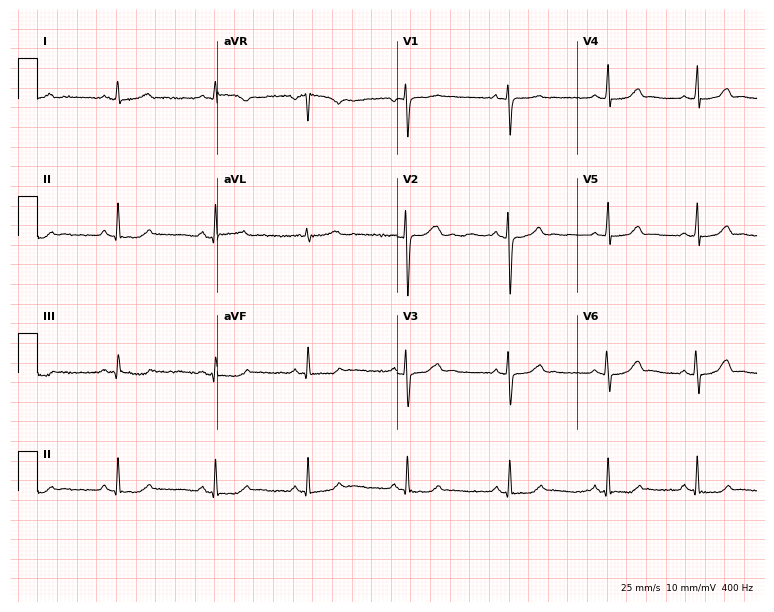
12-lead ECG from a female patient, 26 years old. Recorded interpretation: within normal limits.